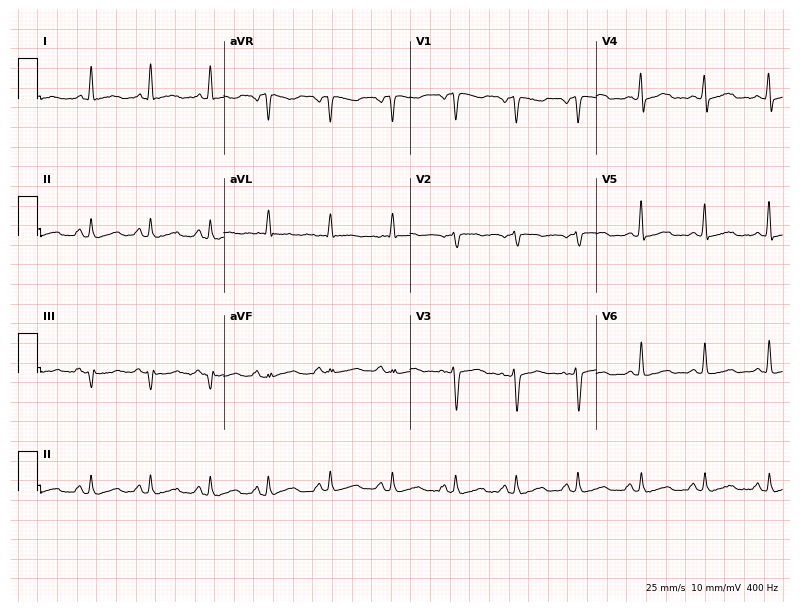
Standard 12-lead ECG recorded from a female patient, 57 years old. None of these six findings is recorded: first-degree AV block, right bundle branch block, left bundle branch block, sinus bradycardia, atrial fibrillation, sinus tachycardia.